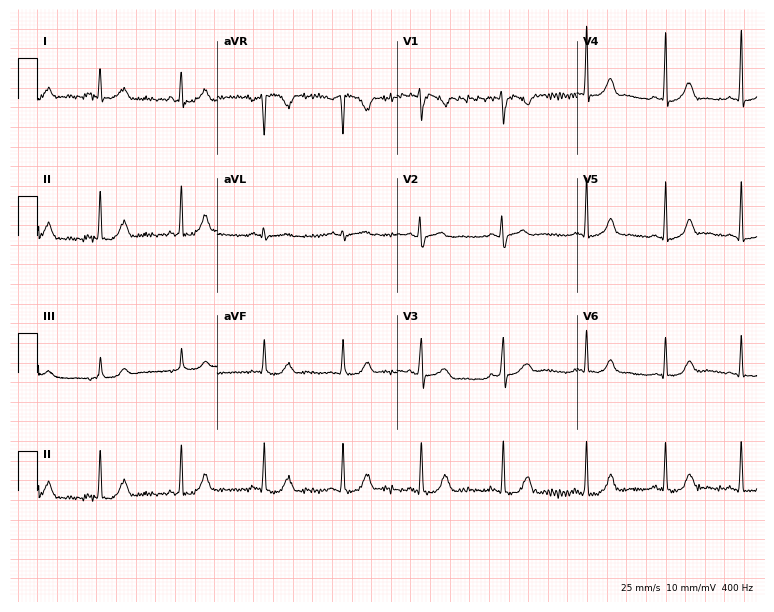
Electrocardiogram (7.3-second recording at 400 Hz), a 17-year-old female patient. Overall reading on record: normal ECG.